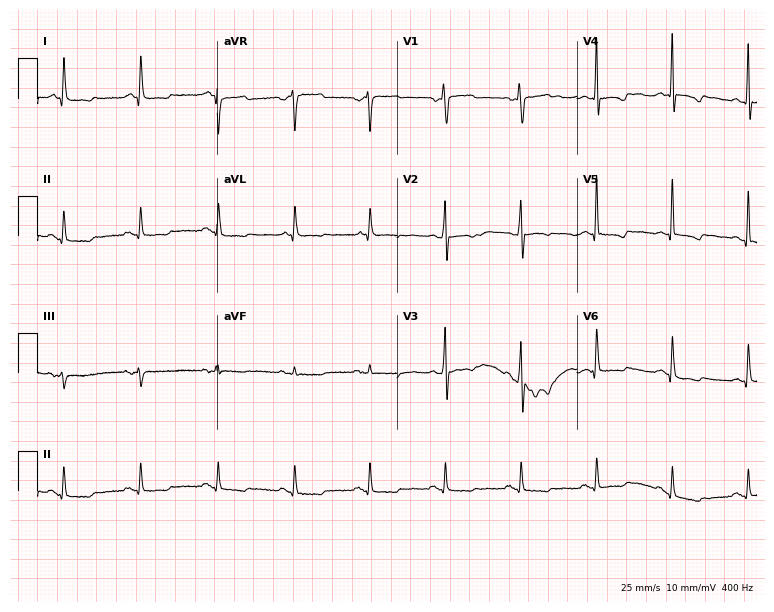
Electrocardiogram, a 56-year-old male patient. Of the six screened findings (first-degree AV block, right bundle branch block (RBBB), left bundle branch block (LBBB), sinus bradycardia, atrial fibrillation (AF), sinus tachycardia), none is recorded. Other findings, if any, are not listed.